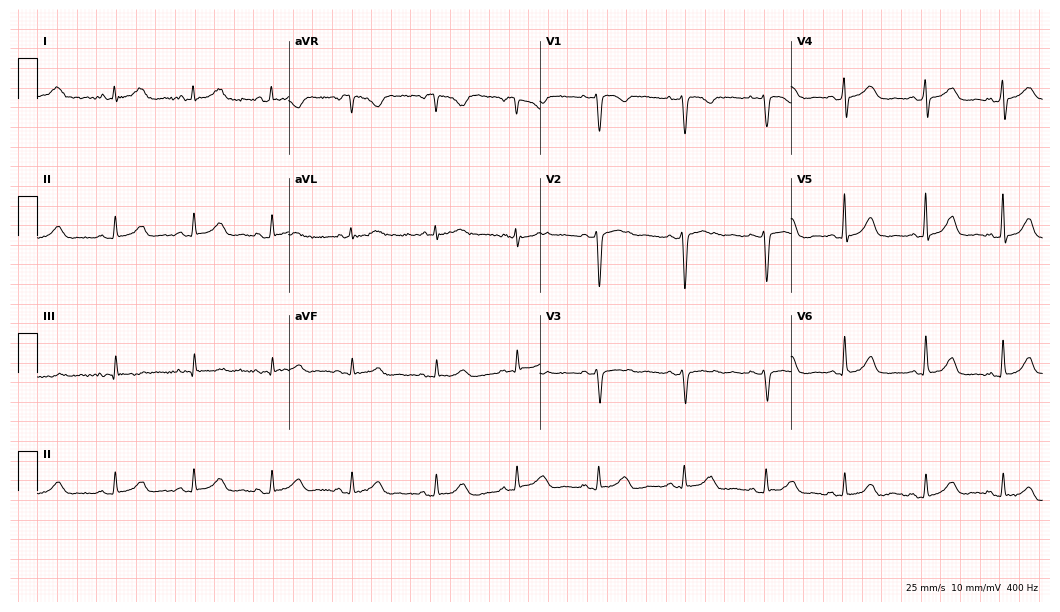
Standard 12-lead ECG recorded from a woman, 48 years old. Read as a normal ECG.